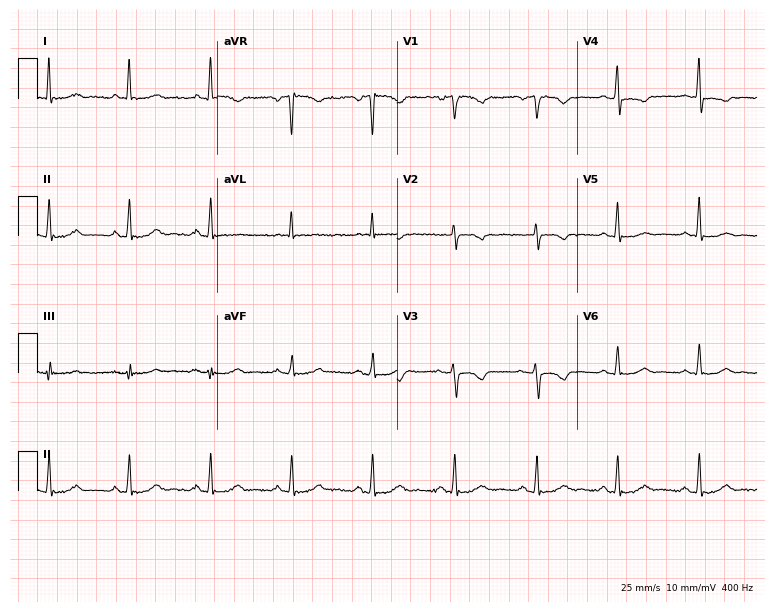
ECG (7.3-second recording at 400 Hz) — a 61-year-old female. Screened for six findings — first-degree AV block, right bundle branch block, left bundle branch block, sinus bradycardia, atrial fibrillation, sinus tachycardia — none is recorded. Only these six findings were labelled.